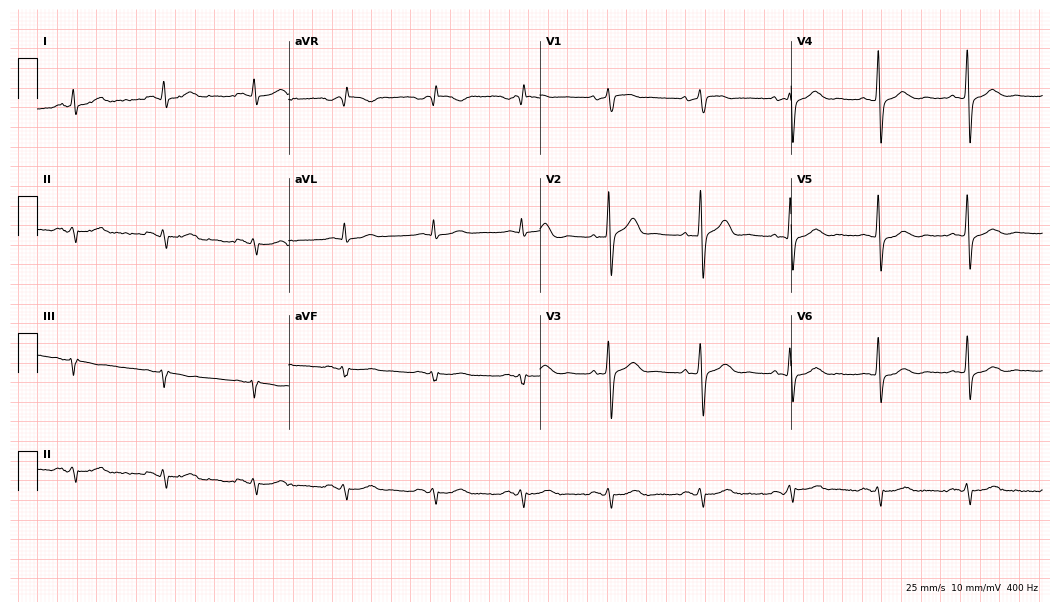
12-lead ECG from a 66-year-old male (10.2-second recording at 400 Hz). No first-degree AV block, right bundle branch block, left bundle branch block, sinus bradycardia, atrial fibrillation or sinus tachycardia recorded for this tracing.